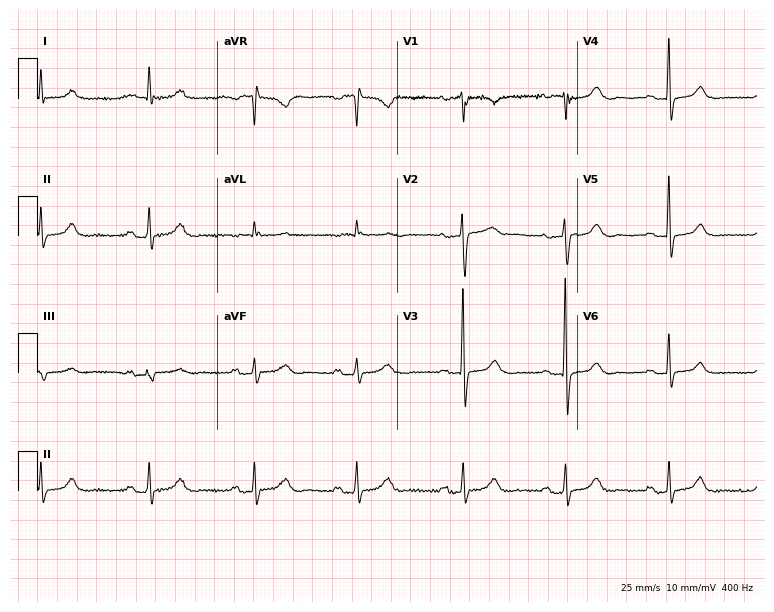
Standard 12-lead ECG recorded from a female, 75 years old (7.3-second recording at 400 Hz). The tracing shows first-degree AV block.